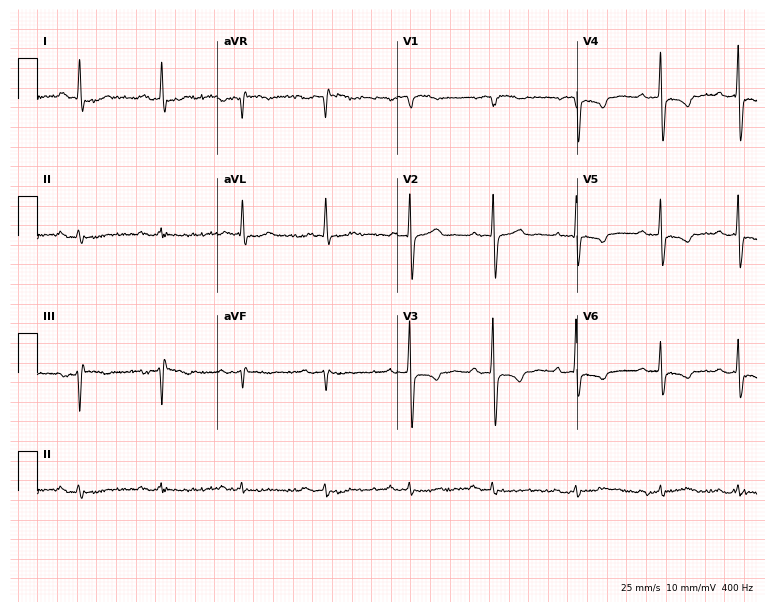
ECG — a man, 84 years old. Screened for six findings — first-degree AV block, right bundle branch block (RBBB), left bundle branch block (LBBB), sinus bradycardia, atrial fibrillation (AF), sinus tachycardia — none is recorded. Other findings, if any, are not listed.